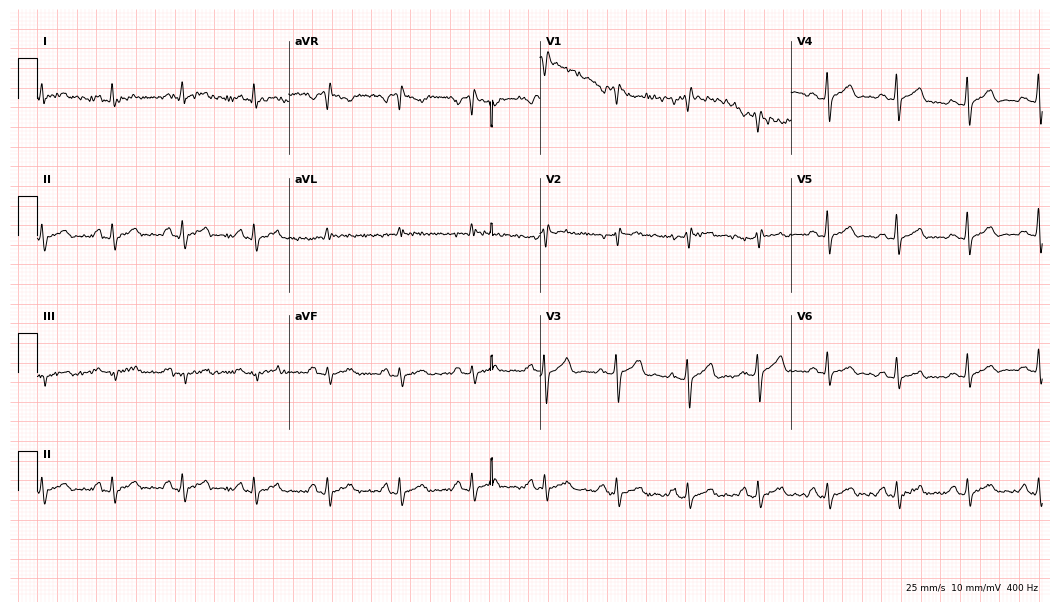
Standard 12-lead ECG recorded from a man, 36 years old. None of these six findings is recorded: first-degree AV block, right bundle branch block, left bundle branch block, sinus bradycardia, atrial fibrillation, sinus tachycardia. Other findings, if any, are not listed.